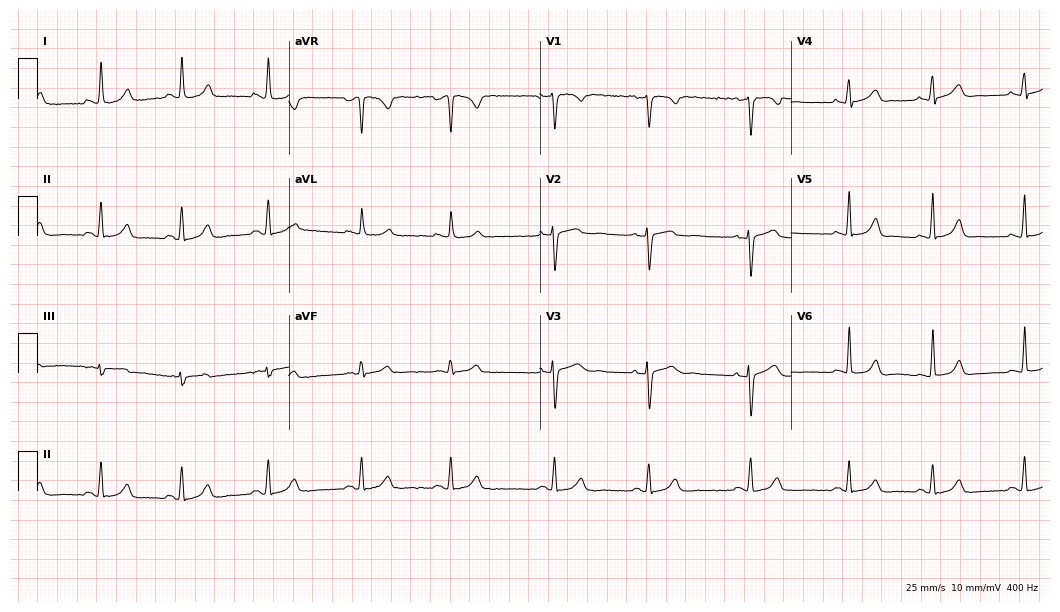
12-lead ECG from a 29-year-old female (10.2-second recording at 400 Hz). No first-degree AV block, right bundle branch block, left bundle branch block, sinus bradycardia, atrial fibrillation or sinus tachycardia recorded for this tracing.